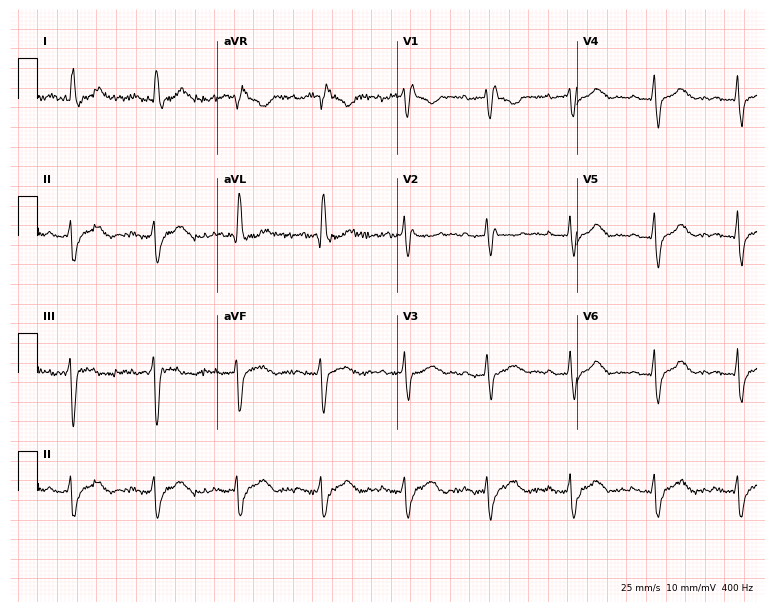
Standard 12-lead ECG recorded from a 75-year-old woman. The tracing shows right bundle branch block (RBBB), left bundle branch block (LBBB).